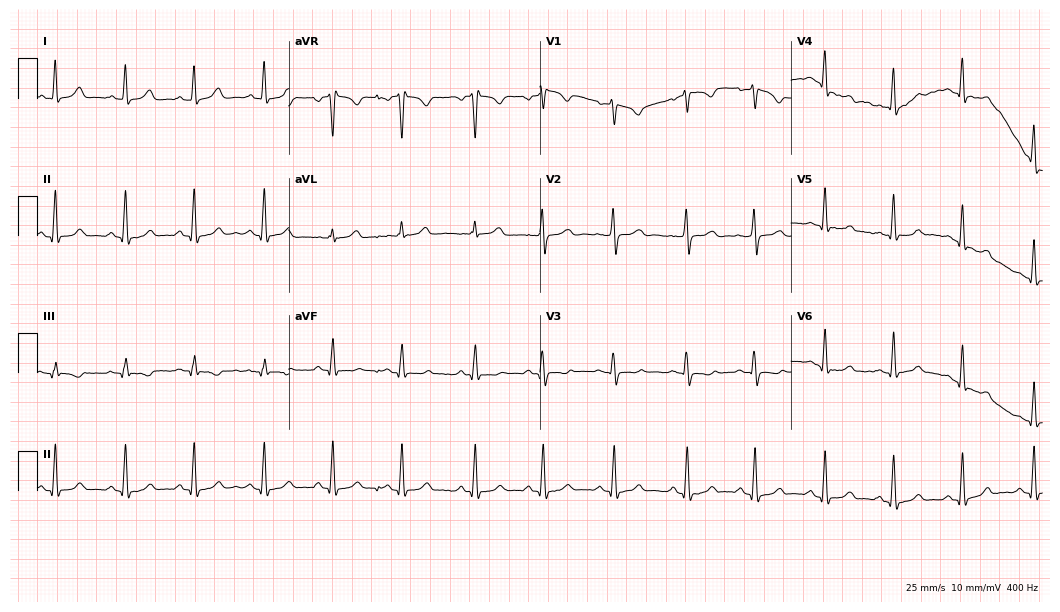
ECG — a female, 31 years old. Screened for six findings — first-degree AV block, right bundle branch block, left bundle branch block, sinus bradycardia, atrial fibrillation, sinus tachycardia — none is recorded. Findings outside these six are not listed.